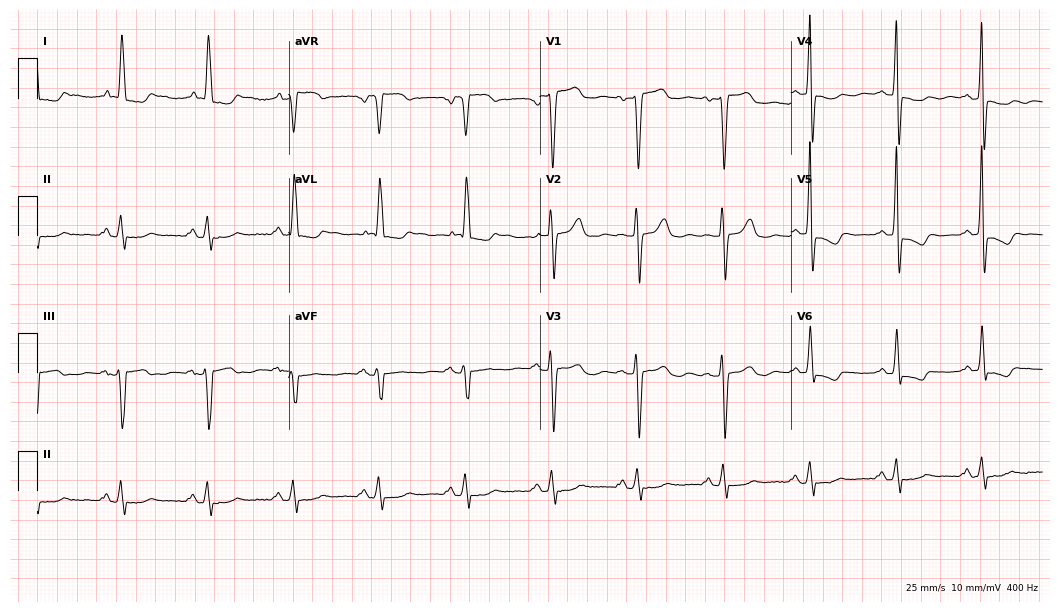
Standard 12-lead ECG recorded from a female, 68 years old (10.2-second recording at 400 Hz). None of these six findings is recorded: first-degree AV block, right bundle branch block, left bundle branch block, sinus bradycardia, atrial fibrillation, sinus tachycardia. Other findings, if any, are not listed.